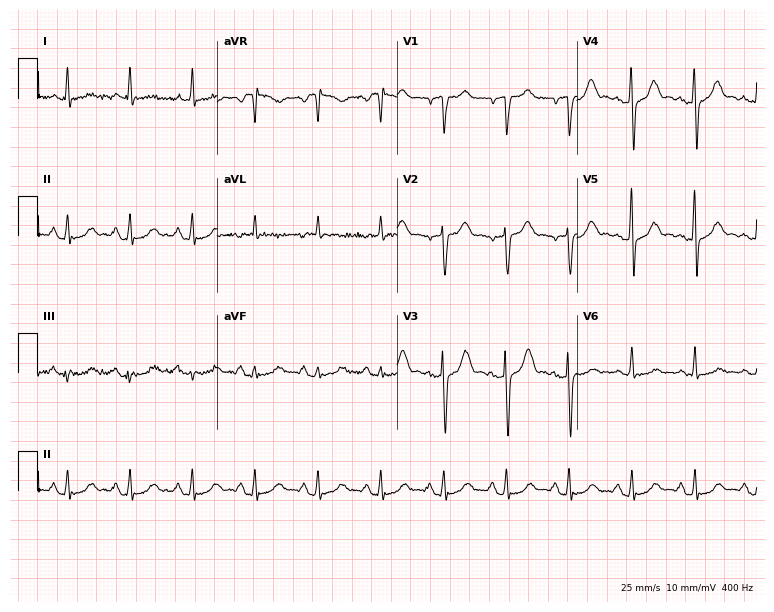
Resting 12-lead electrocardiogram (7.3-second recording at 400 Hz). Patient: a male, 69 years old. Read as a normal ECG.